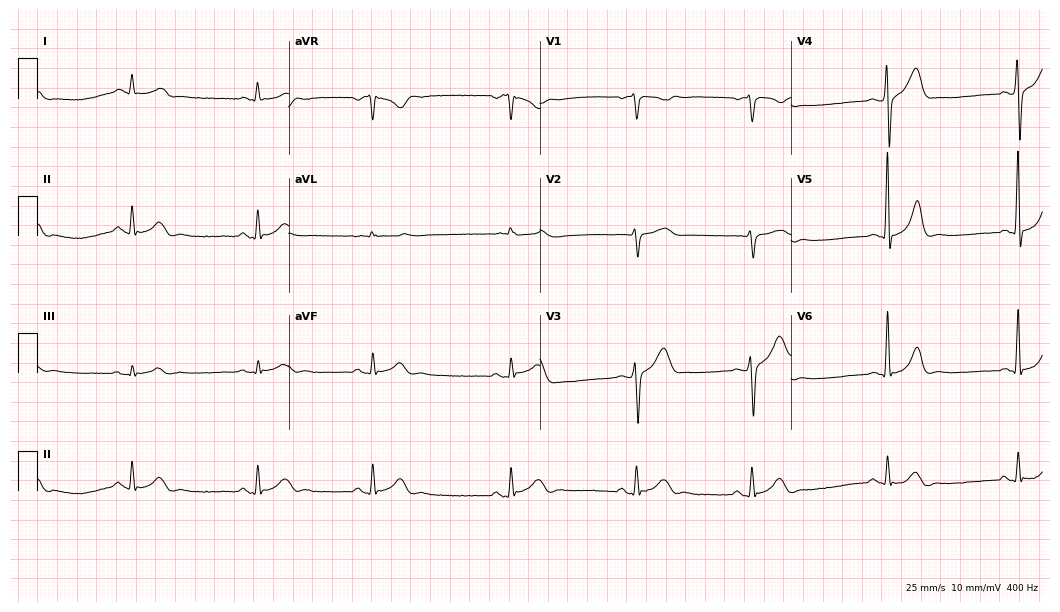
Resting 12-lead electrocardiogram. Patient: a male, 39 years old. The tracing shows sinus bradycardia (a sinus rate of 50 beats per minute or less).